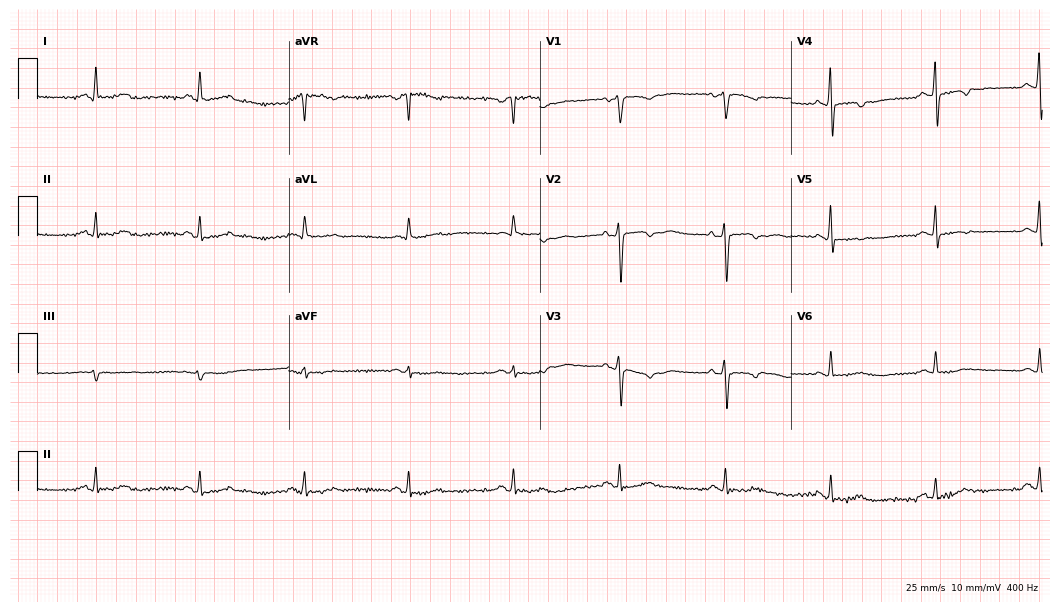
Standard 12-lead ECG recorded from a 61-year-old female patient. None of these six findings is recorded: first-degree AV block, right bundle branch block (RBBB), left bundle branch block (LBBB), sinus bradycardia, atrial fibrillation (AF), sinus tachycardia.